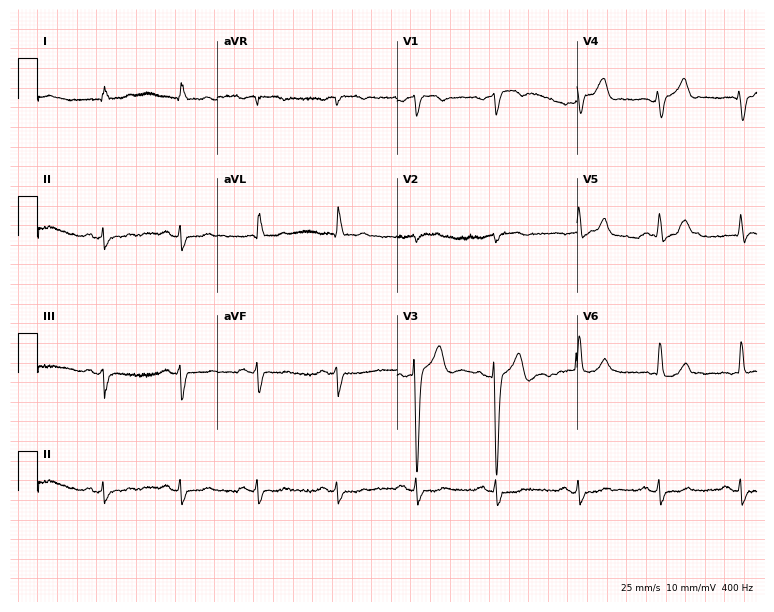
Standard 12-lead ECG recorded from a man, 74 years old (7.3-second recording at 400 Hz). None of these six findings is recorded: first-degree AV block, right bundle branch block (RBBB), left bundle branch block (LBBB), sinus bradycardia, atrial fibrillation (AF), sinus tachycardia.